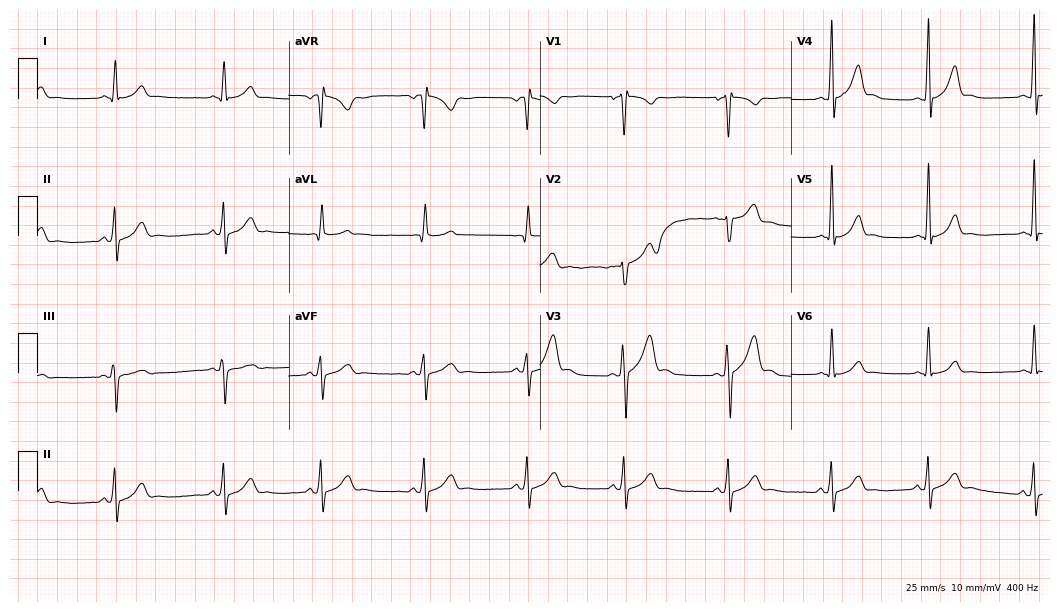
ECG — a male, 17 years old. Labelled as a normal ECG.